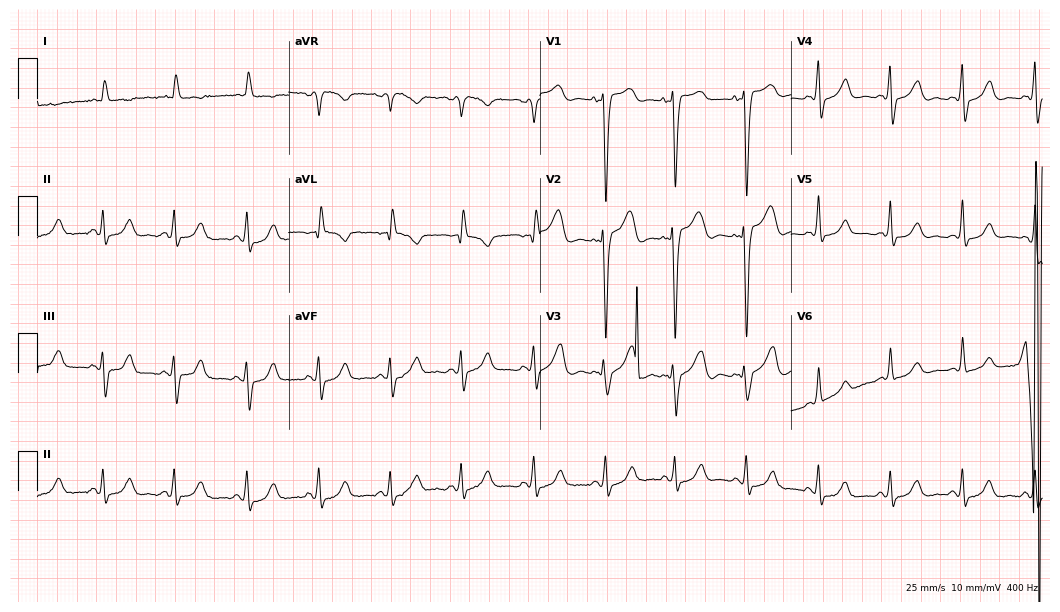
12-lead ECG from a female patient, 85 years old (10.2-second recording at 400 Hz). No first-degree AV block, right bundle branch block (RBBB), left bundle branch block (LBBB), sinus bradycardia, atrial fibrillation (AF) or sinus tachycardia recorded for this tracing.